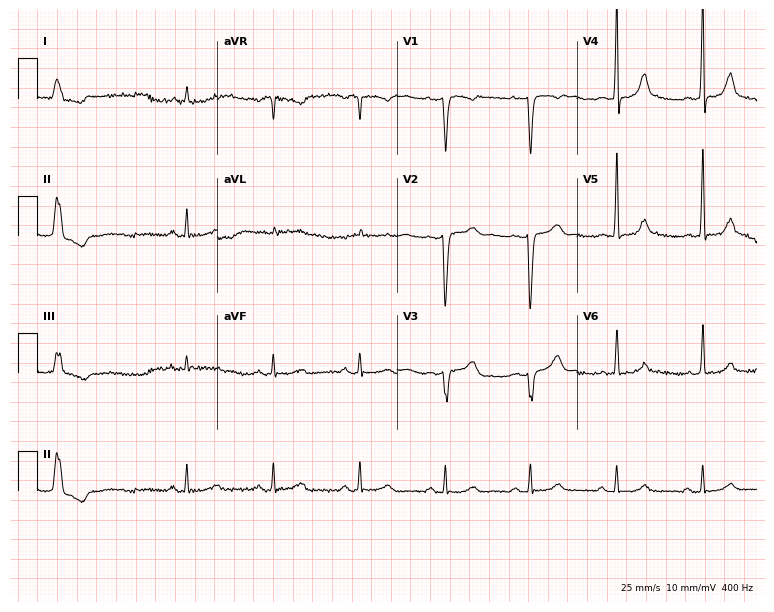
12-lead ECG (7.3-second recording at 400 Hz) from a 58-year-old female patient. Screened for six findings — first-degree AV block, right bundle branch block, left bundle branch block, sinus bradycardia, atrial fibrillation, sinus tachycardia — none is recorded.